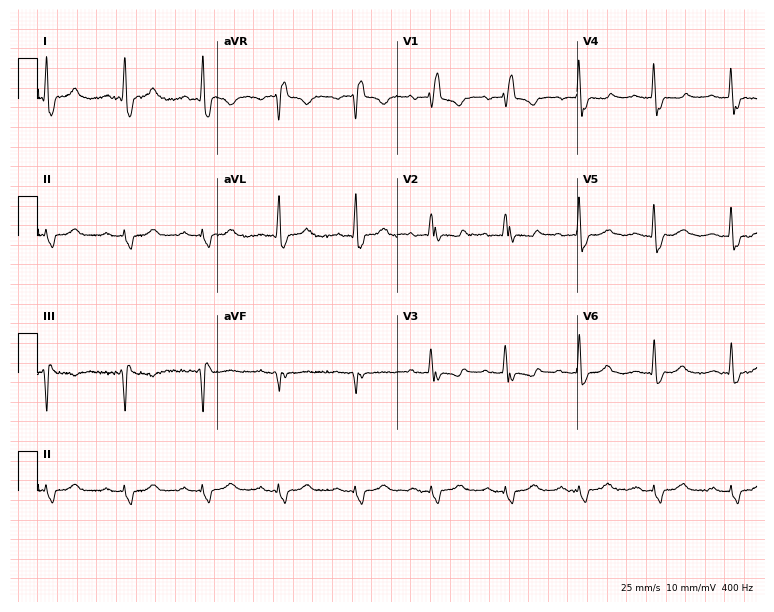
Resting 12-lead electrocardiogram (7.3-second recording at 400 Hz). Patient: a male, 44 years old. The tracing shows right bundle branch block.